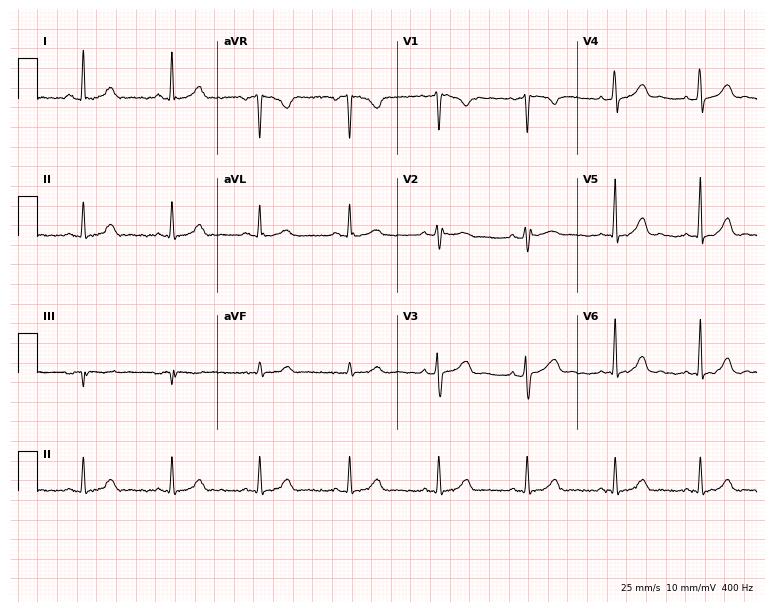
Electrocardiogram, a 27-year-old female patient. Overall reading on record: normal ECG.